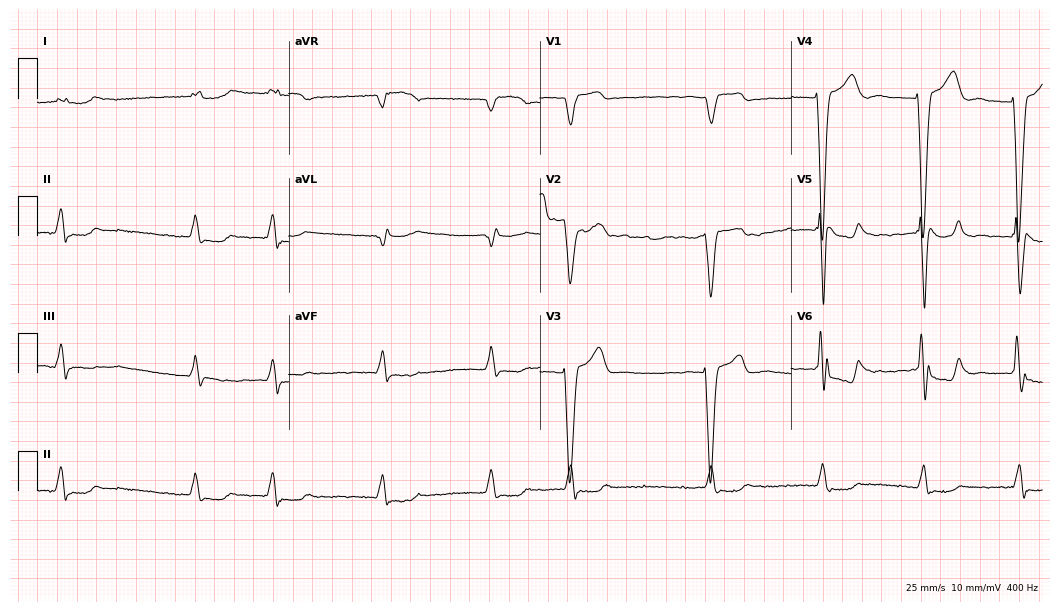
12-lead ECG from a 79-year-old male patient. Findings include left bundle branch block, atrial fibrillation.